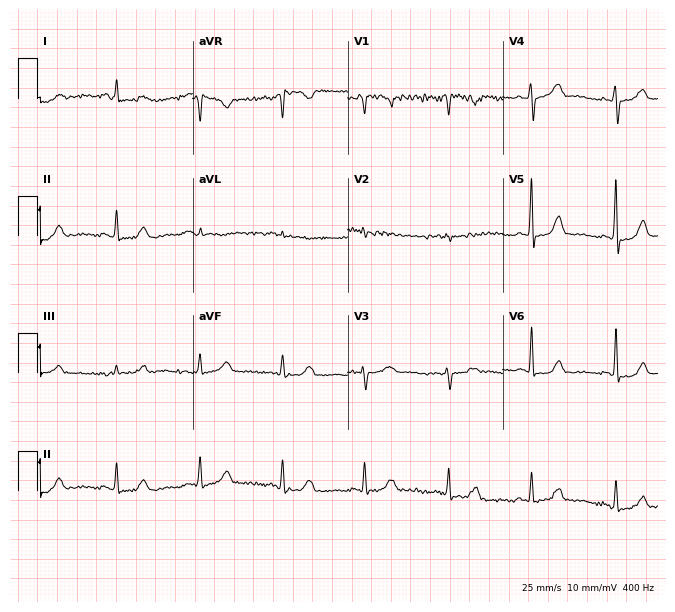
Resting 12-lead electrocardiogram (6.3-second recording at 400 Hz). Patient: a 64-year-old female. None of these six findings is recorded: first-degree AV block, right bundle branch block, left bundle branch block, sinus bradycardia, atrial fibrillation, sinus tachycardia.